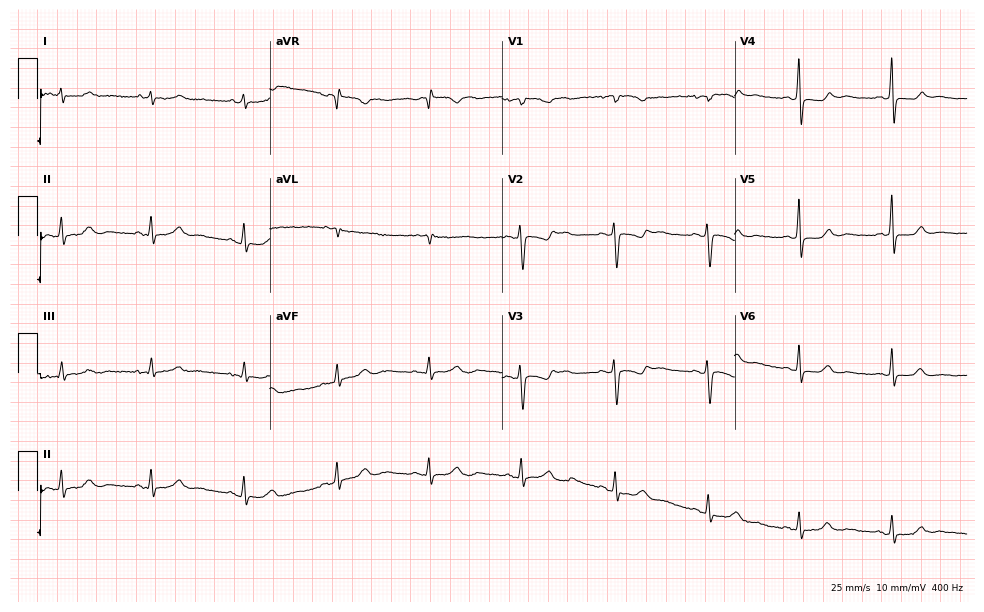
12-lead ECG from a 53-year-old female patient. No first-degree AV block, right bundle branch block, left bundle branch block, sinus bradycardia, atrial fibrillation or sinus tachycardia recorded for this tracing. Only these six findings were labelled.